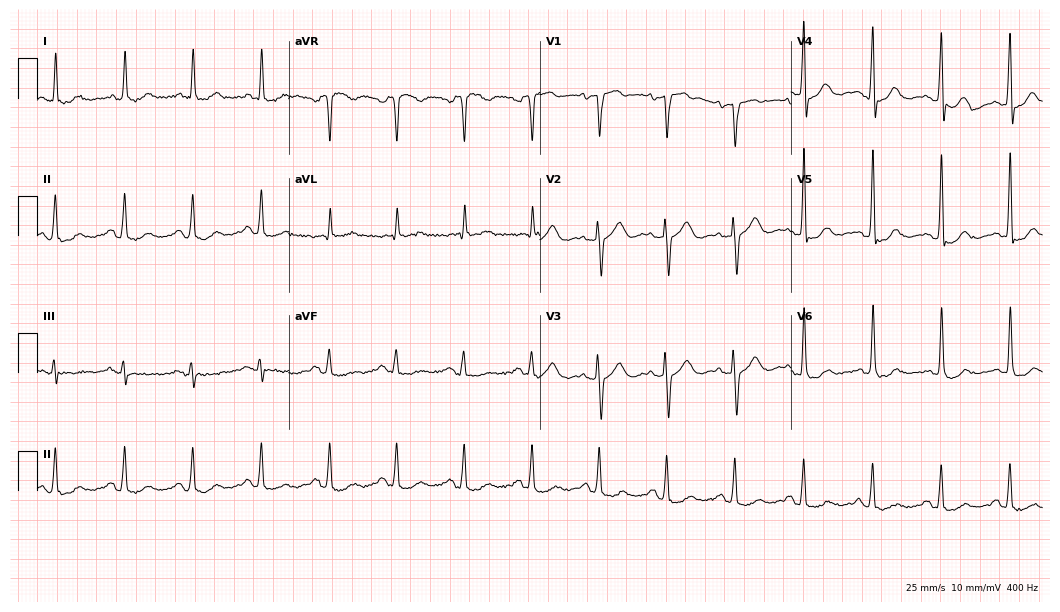
12-lead ECG from a 70-year-old male patient. Screened for six findings — first-degree AV block, right bundle branch block, left bundle branch block, sinus bradycardia, atrial fibrillation, sinus tachycardia — none is recorded.